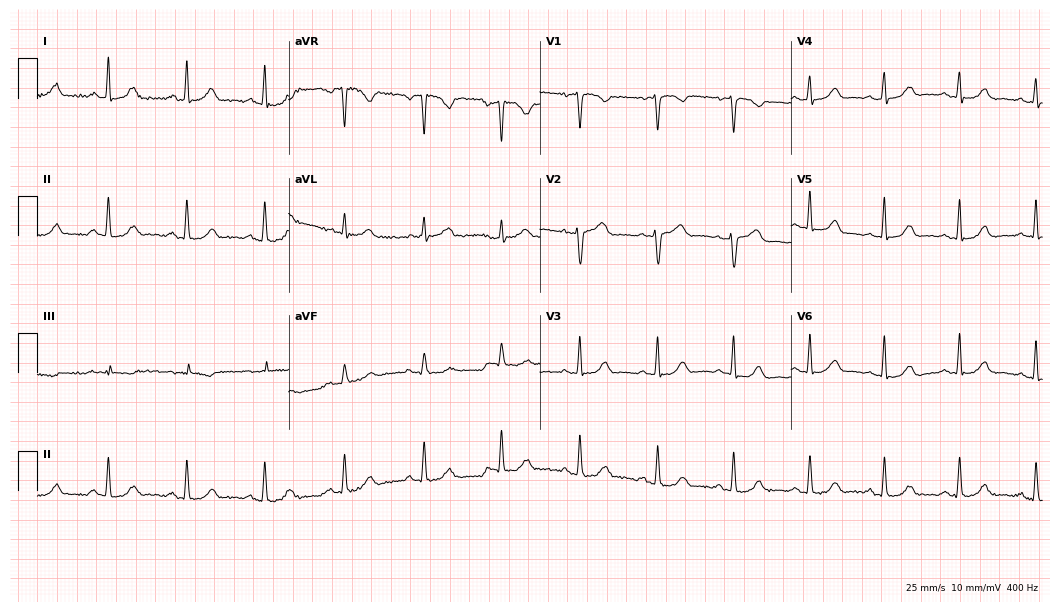
12-lead ECG from a 42-year-old female. Recorded interpretation: within normal limits.